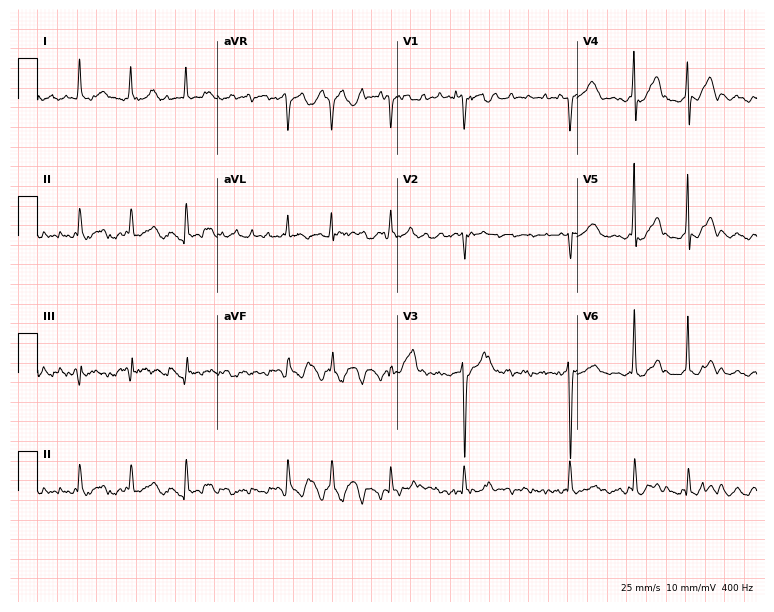
12-lead ECG (7.3-second recording at 400 Hz) from a male, 62 years old. Findings include atrial fibrillation (AF).